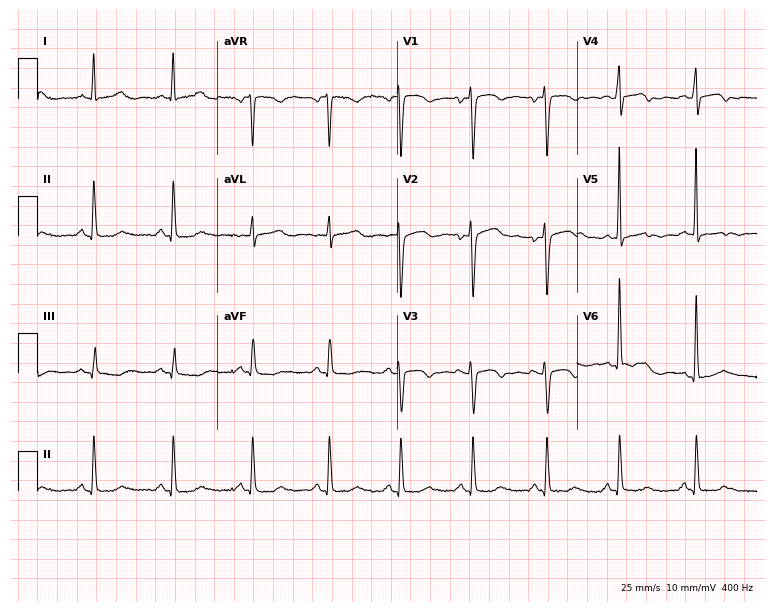
Standard 12-lead ECG recorded from a 37-year-old woman. None of these six findings is recorded: first-degree AV block, right bundle branch block (RBBB), left bundle branch block (LBBB), sinus bradycardia, atrial fibrillation (AF), sinus tachycardia.